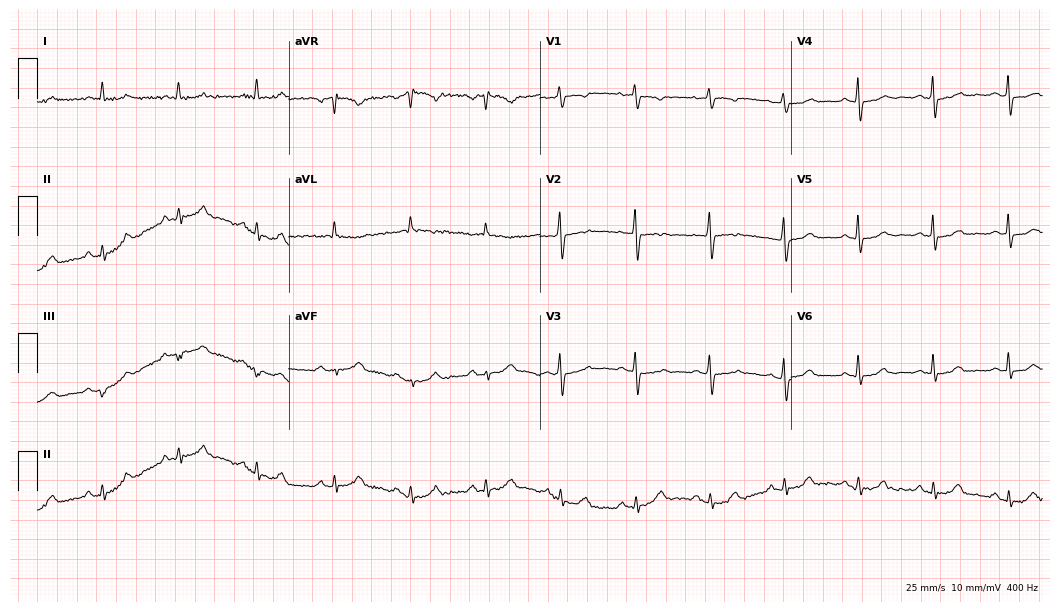
12-lead ECG (10.2-second recording at 400 Hz) from a female patient, 69 years old. Labelled as a normal ECG.